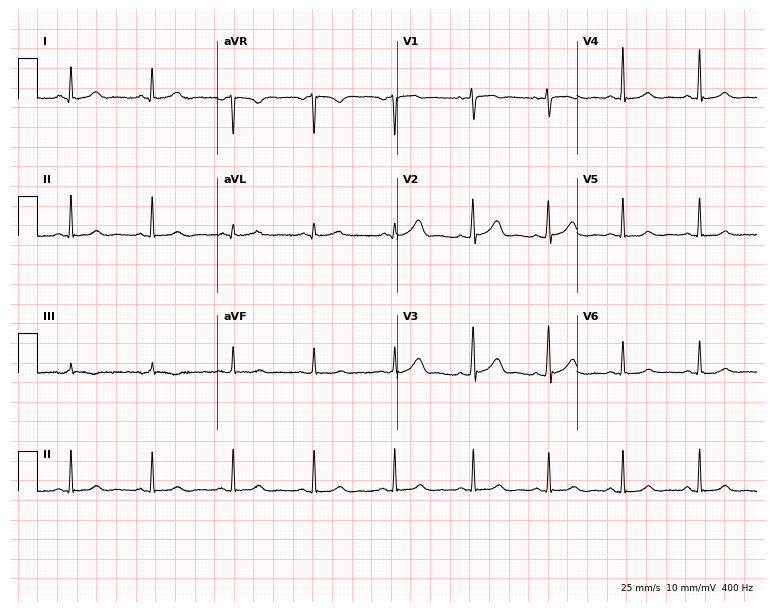
ECG (7.3-second recording at 400 Hz) — a 37-year-old female. Screened for six findings — first-degree AV block, right bundle branch block (RBBB), left bundle branch block (LBBB), sinus bradycardia, atrial fibrillation (AF), sinus tachycardia — none is recorded. Only these six findings were labelled.